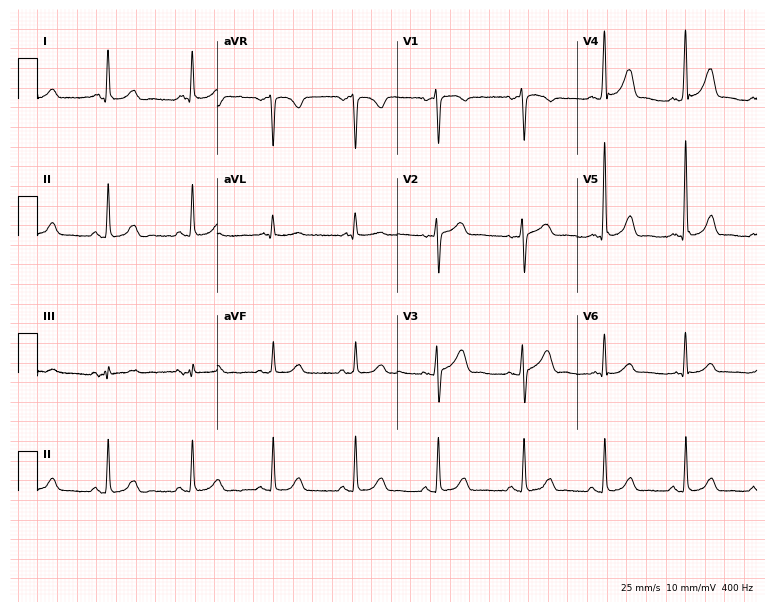
Electrocardiogram (7.3-second recording at 400 Hz), a woman, 62 years old. Overall reading on record: normal ECG.